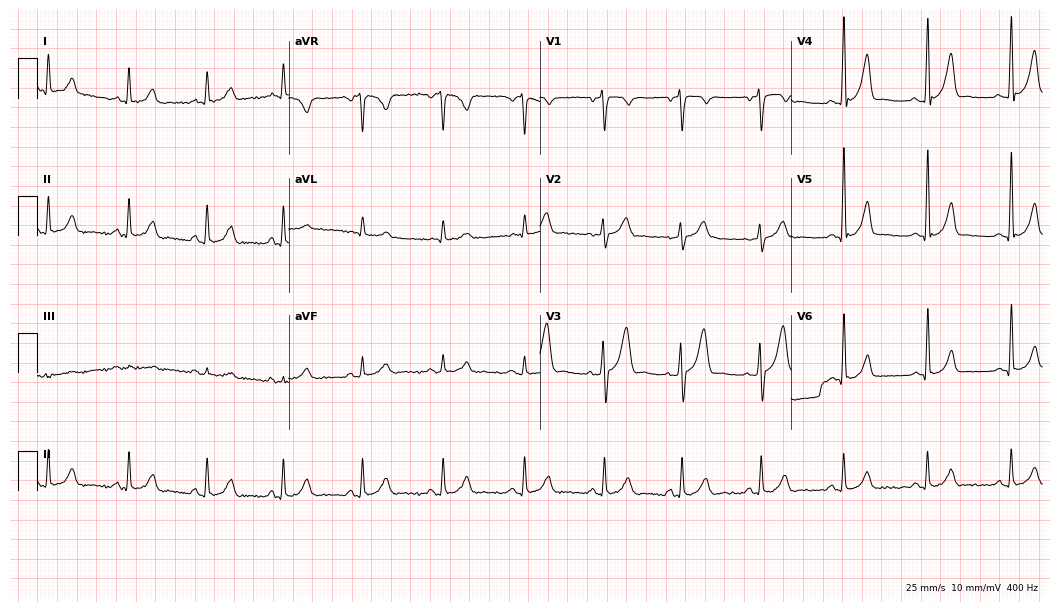
Electrocardiogram (10.2-second recording at 400 Hz), a 50-year-old man. Overall reading on record: normal ECG.